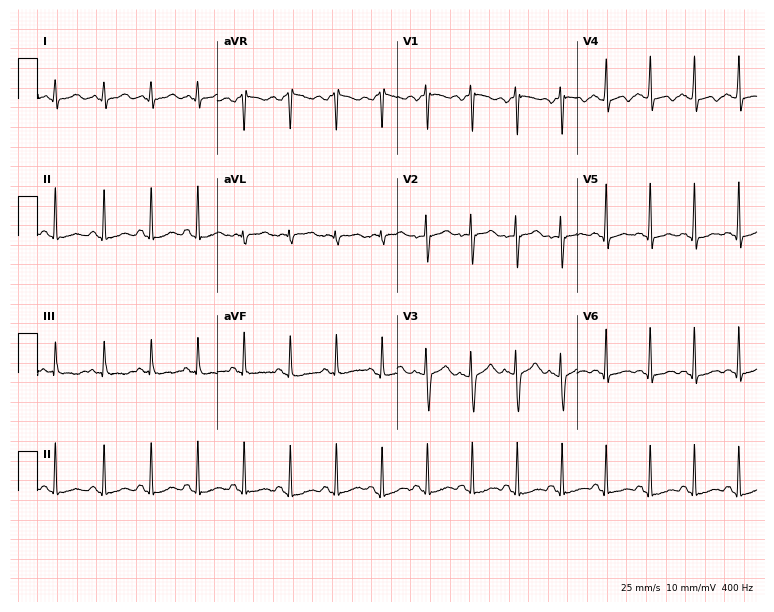
ECG (7.3-second recording at 400 Hz) — a female, 22 years old. Findings include sinus tachycardia (a sinus rate of 100 beats per minute or more).